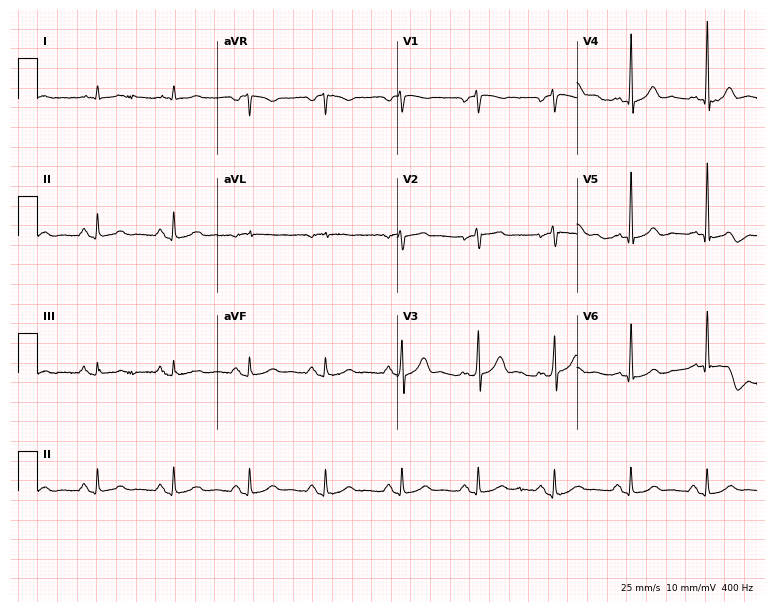
Standard 12-lead ECG recorded from a male patient, 83 years old. Read as a normal ECG.